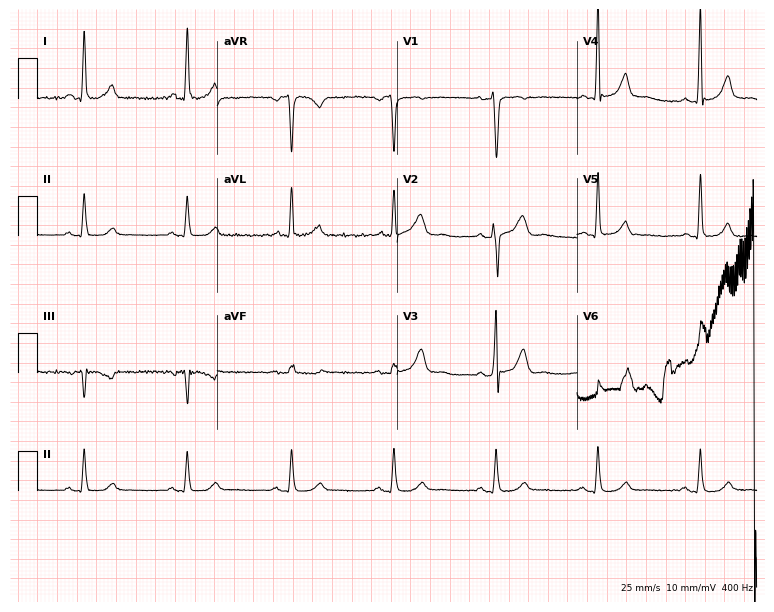
12-lead ECG from a male patient, 56 years old. Labelled as a normal ECG.